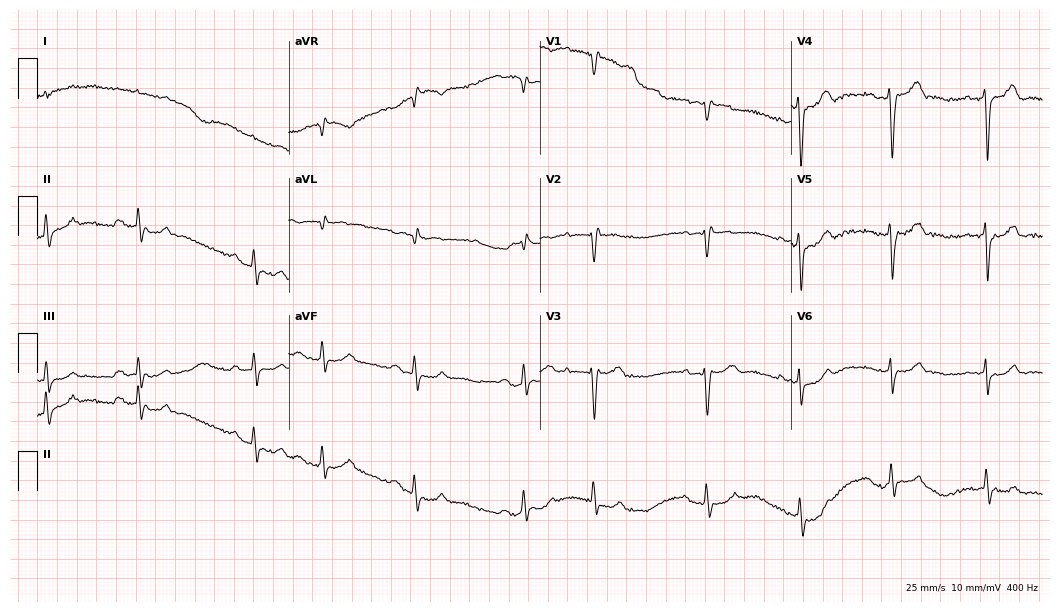
ECG (10.2-second recording at 400 Hz) — an 84-year-old male. Screened for six findings — first-degree AV block, right bundle branch block (RBBB), left bundle branch block (LBBB), sinus bradycardia, atrial fibrillation (AF), sinus tachycardia — none is recorded. Only these six findings were labelled.